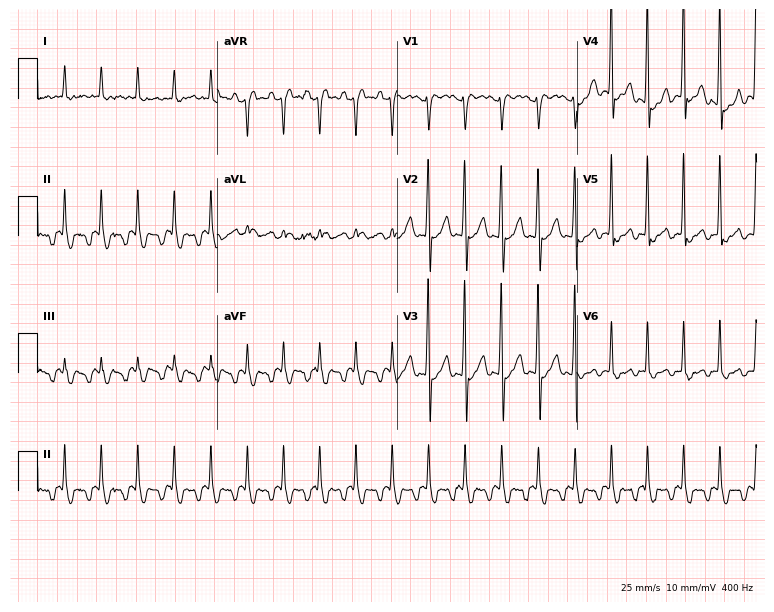
Resting 12-lead electrocardiogram. Patient: a female, 83 years old. None of these six findings is recorded: first-degree AV block, right bundle branch block, left bundle branch block, sinus bradycardia, atrial fibrillation, sinus tachycardia.